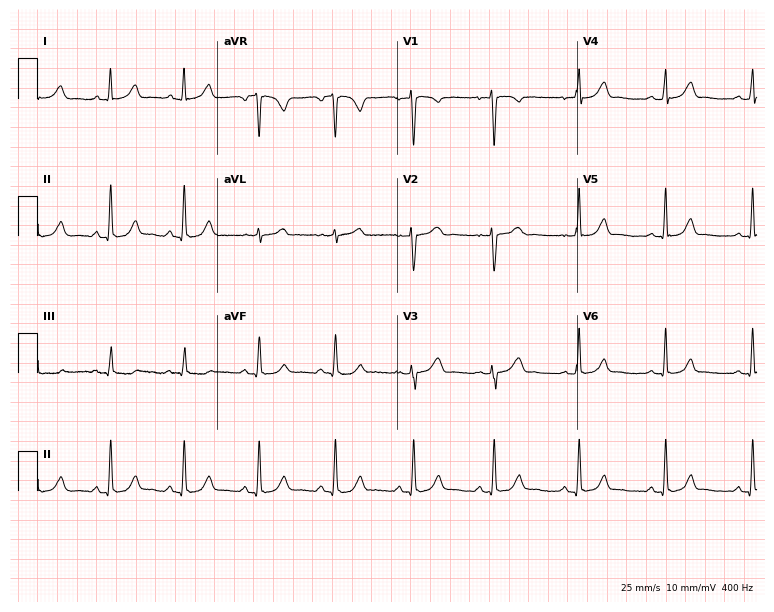
Resting 12-lead electrocardiogram. Patient: a female, 33 years old. Read as a normal ECG.